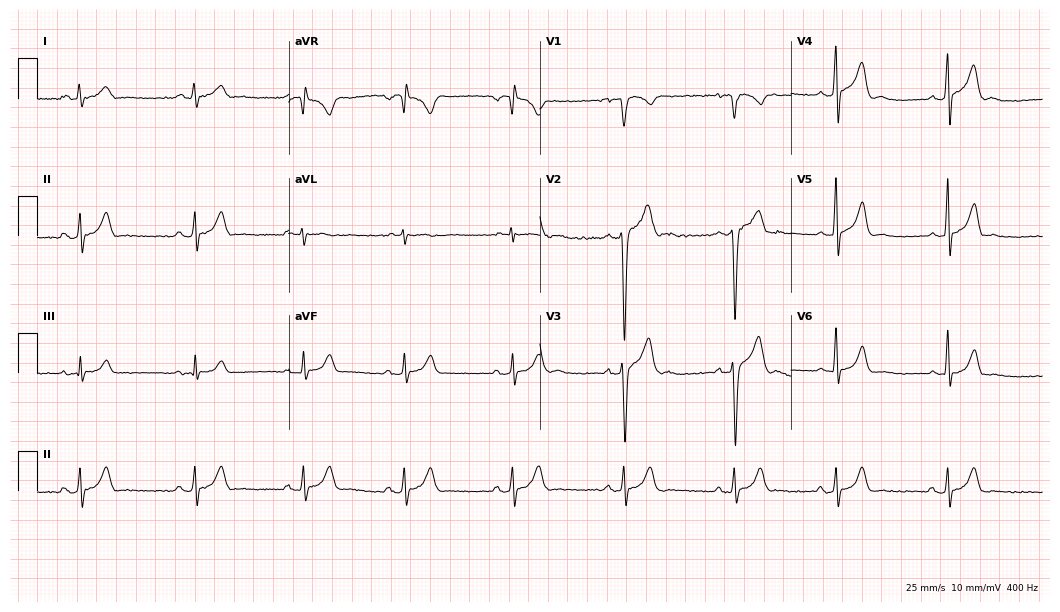
12-lead ECG from a 21-year-old male patient. Labelled as a normal ECG.